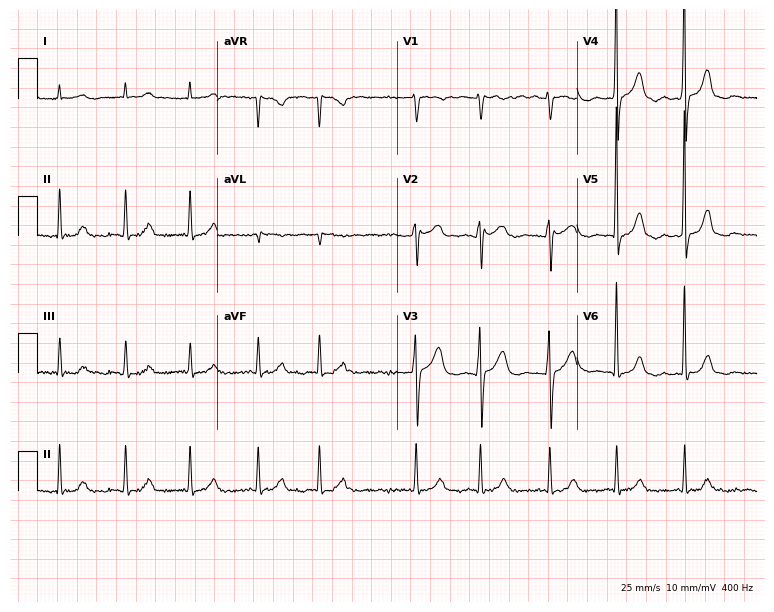
Standard 12-lead ECG recorded from a 76-year-old female patient. The tracing shows atrial fibrillation.